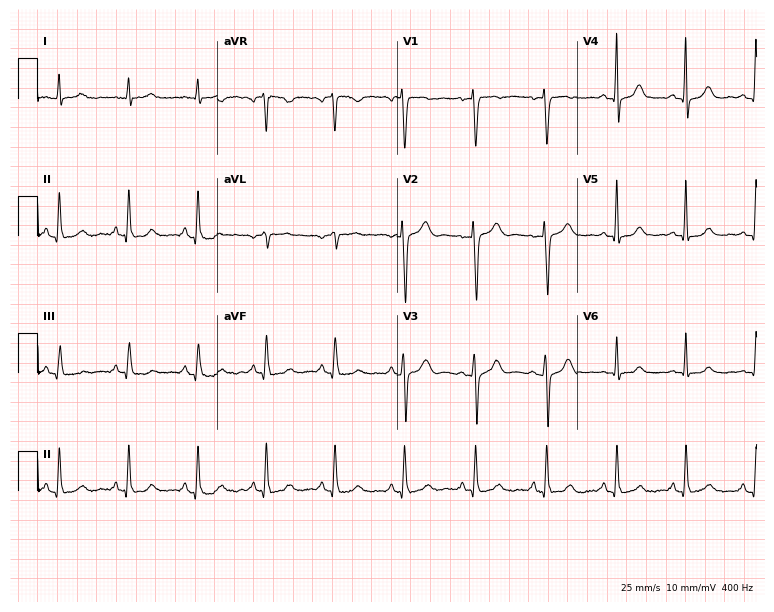
ECG (7.3-second recording at 400 Hz) — a woman, 42 years old. Labelled as a normal ECG.